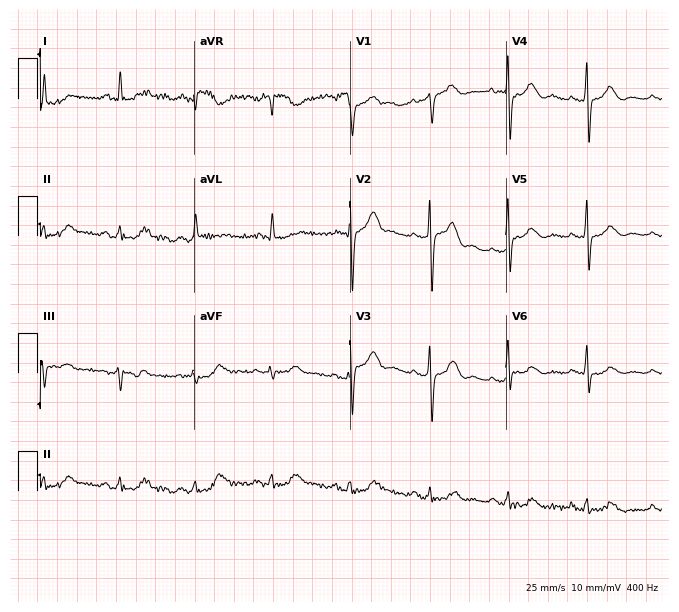
ECG (6.4-second recording at 400 Hz) — a woman, 71 years old. Labelled as a normal ECG.